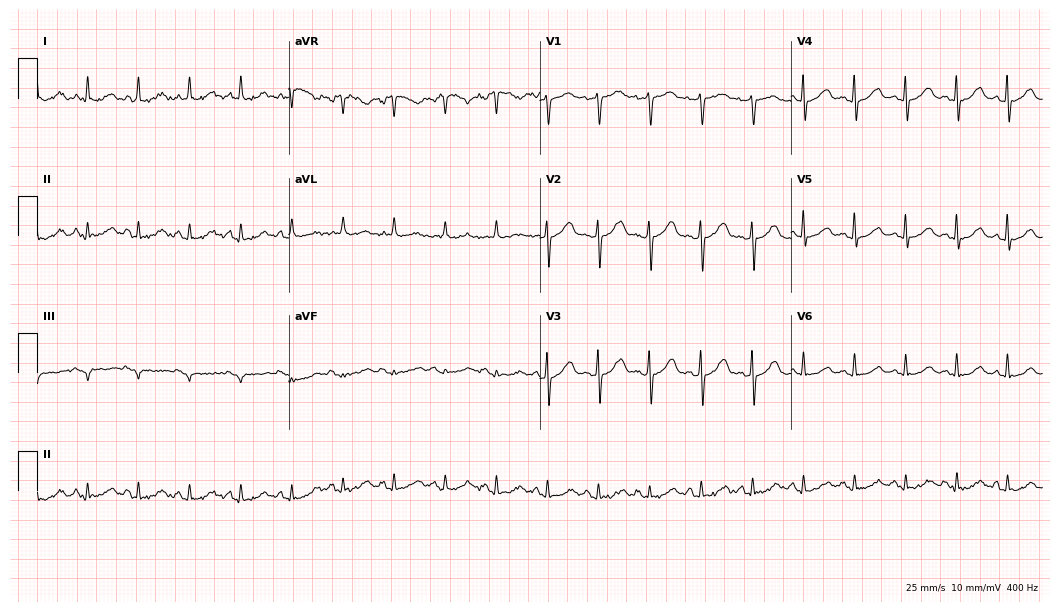
ECG — a woman, 64 years old. Screened for six findings — first-degree AV block, right bundle branch block, left bundle branch block, sinus bradycardia, atrial fibrillation, sinus tachycardia — none is recorded.